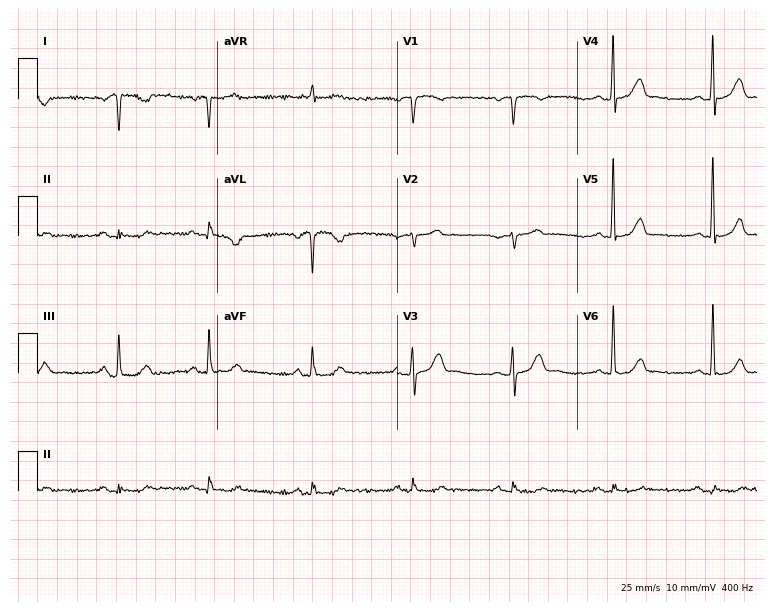
Resting 12-lead electrocardiogram (7.3-second recording at 400 Hz). Patient: an 80-year-old woman. None of these six findings is recorded: first-degree AV block, right bundle branch block, left bundle branch block, sinus bradycardia, atrial fibrillation, sinus tachycardia.